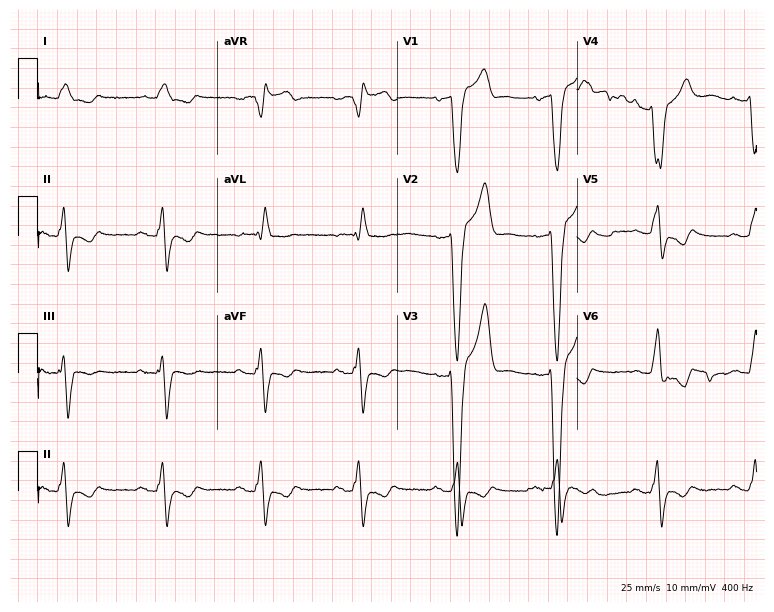
ECG — a male patient, 71 years old. Screened for six findings — first-degree AV block, right bundle branch block, left bundle branch block, sinus bradycardia, atrial fibrillation, sinus tachycardia — none is recorded.